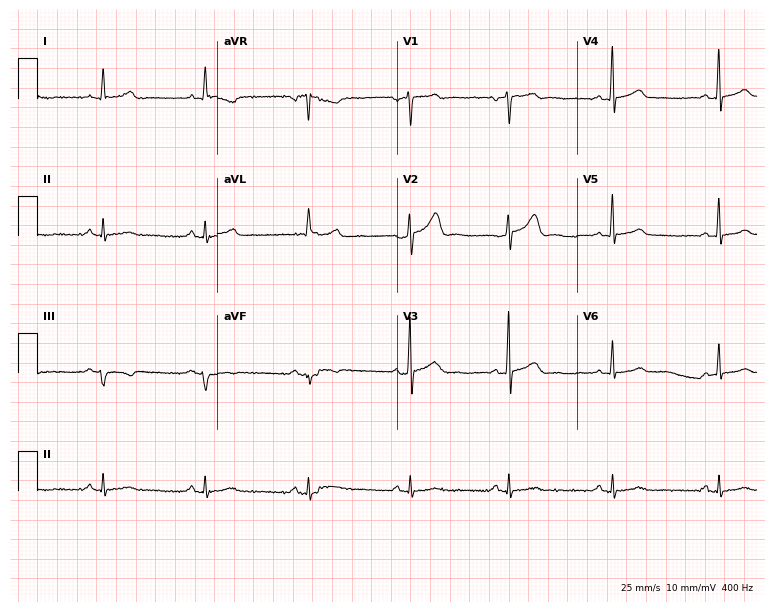
12-lead ECG from a male, 59 years old. No first-degree AV block, right bundle branch block, left bundle branch block, sinus bradycardia, atrial fibrillation or sinus tachycardia recorded for this tracing. Other findings, if any, are not listed.